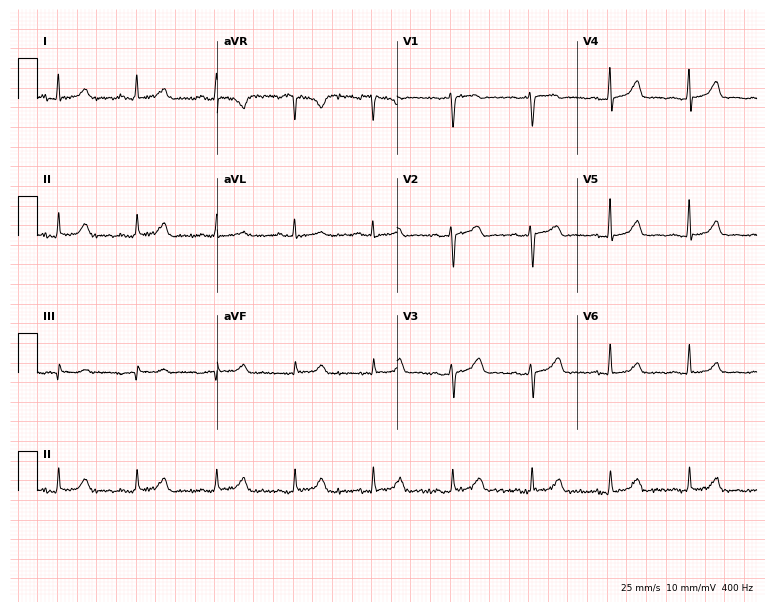
ECG (7.3-second recording at 400 Hz) — a 52-year-old woman. Screened for six findings — first-degree AV block, right bundle branch block, left bundle branch block, sinus bradycardia, atrial fibrillation, sinus tachycardia — none is recorded. Other findings, if any, are not listed.